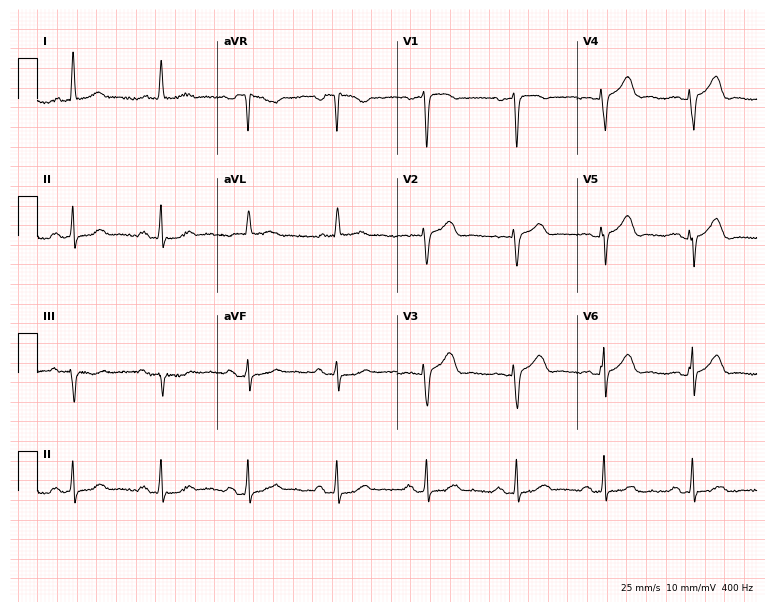
Resting 12-lead electrocardiogram. Patient: a woman, 51 years old. None of these six findings is recorded: first-degree AV block, right bundle branch block, left bundle branch block, sinus bradycardia, atrial fibrillation, sinus tachycardia.